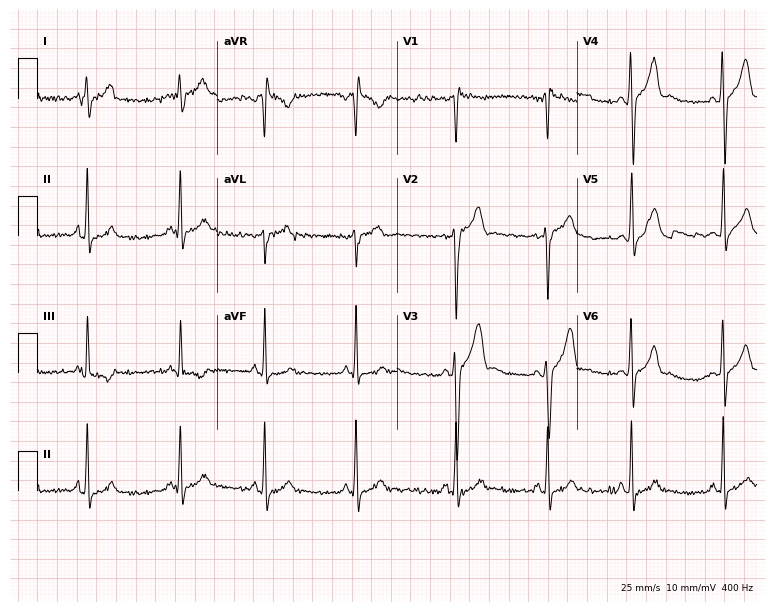
Resting 12-lead electrocardiogram (7.3-second recording at 400 Hz). Patient: a 17-year-old man. Read as a normal ECG.